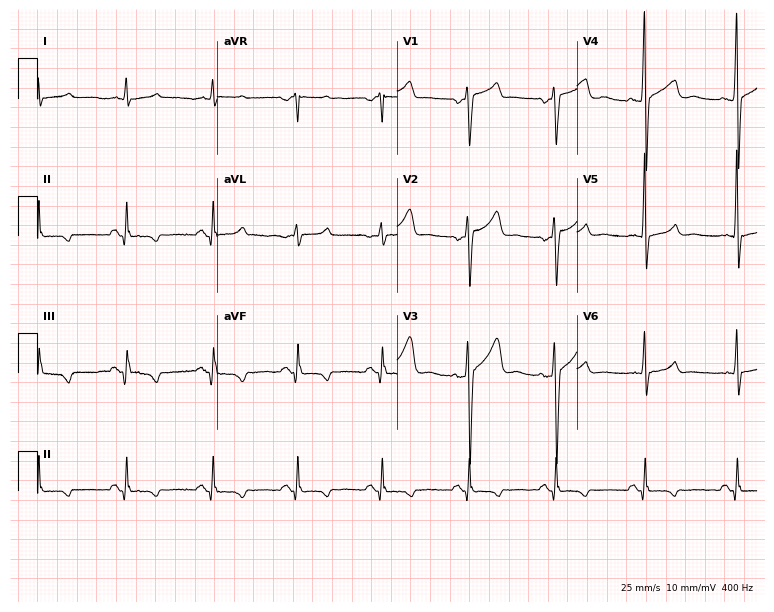
Electrocardiogram, a 65-year-old male. Of the six screened findings (first-degree AV block, right bundle branch block, left bundle branch block, sinus bradycardia, atrial fibrillation, sinus tachycardia), none is recorded.